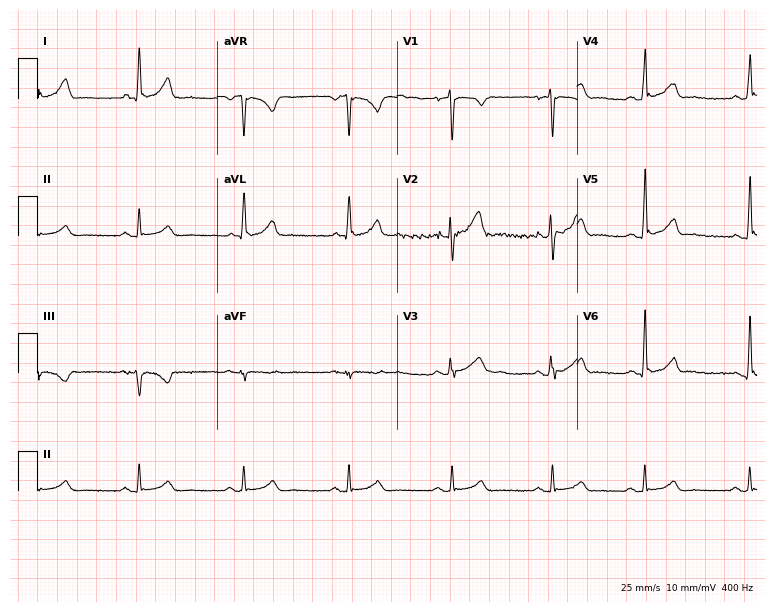
12-lead ECG from a male, 29 years old (7.3-second recording at 400 Hz). Recorded interpretation: within normal limits.